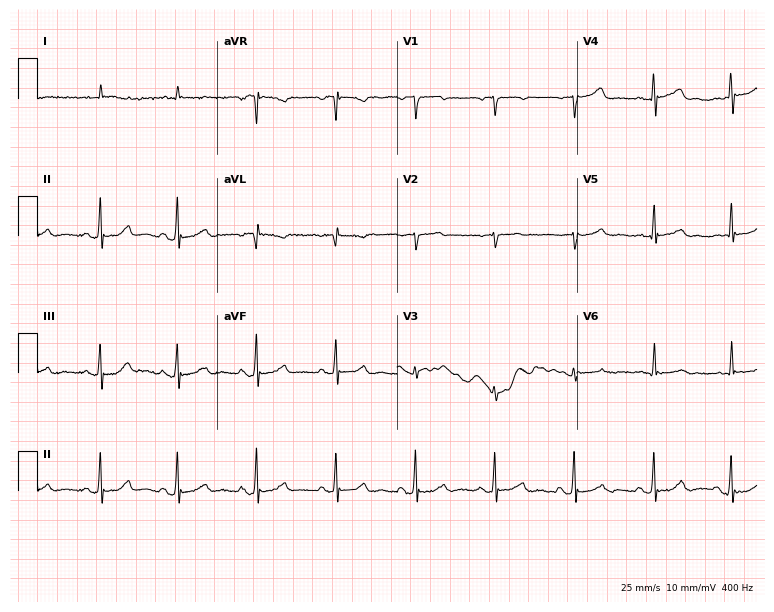
ECG (7.3-second recording at 400 Hz) — a male, 86 years old. Labelled as a normal ECG.